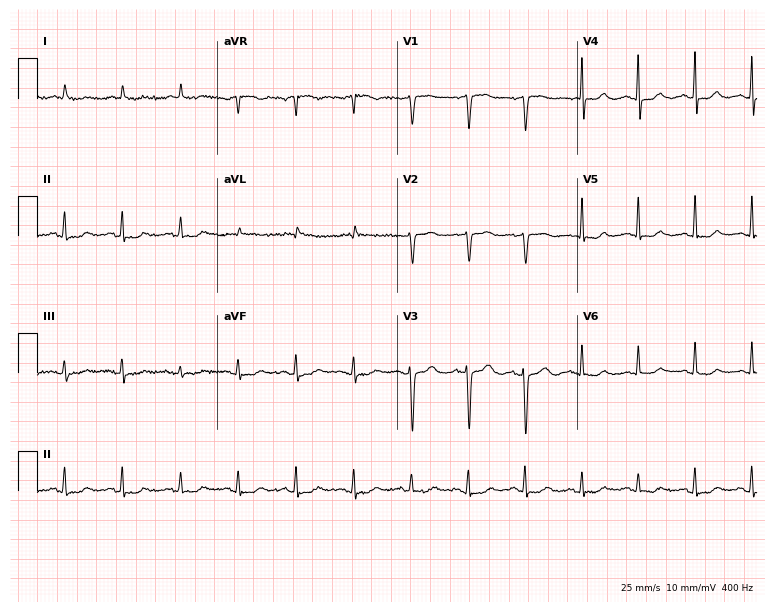
Standard 12-lead ECG recorded from an 84-year-old woman (7.3-second recording at 400 Hz). The tracing shows sinus tachycardia (a sinus rate of 100 beats per minute or more).